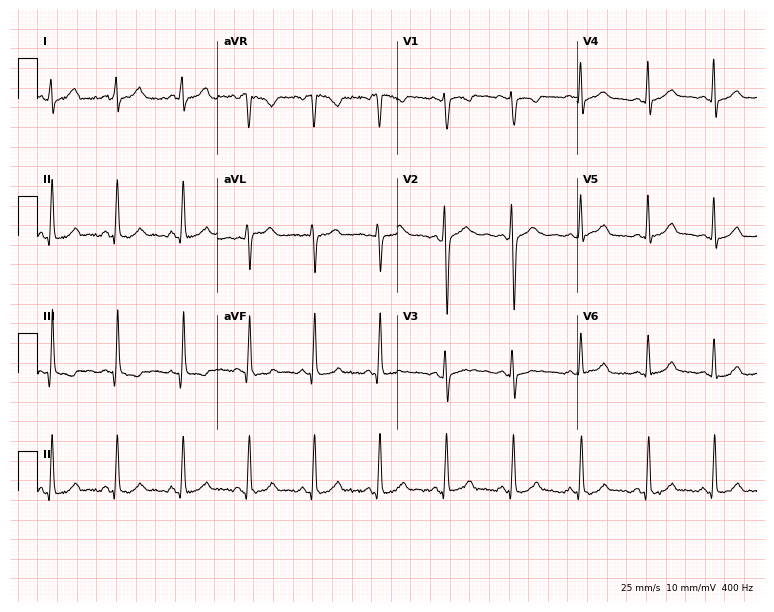
Resting 12-lead electrocardiogram. Patient: a 28-year-old female. Read as a normal ECG.